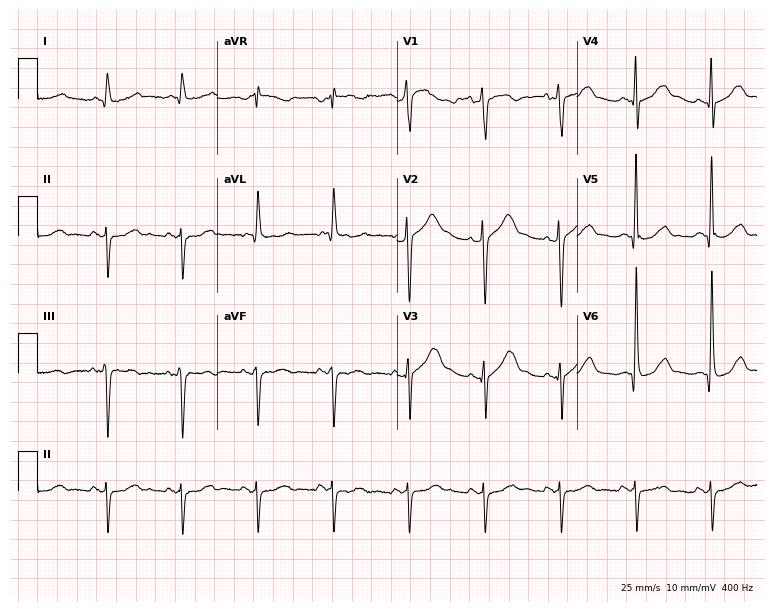
Resting 12-lead electrocardiogram. Patient: a male, 80 years old. None of these six findings is recorded: first-degree AV block, right bundle branch block, left bundle branch block, sinus bradycardia, atrial fibrillation, sinus tachycardia. Only these six findings were labelled.